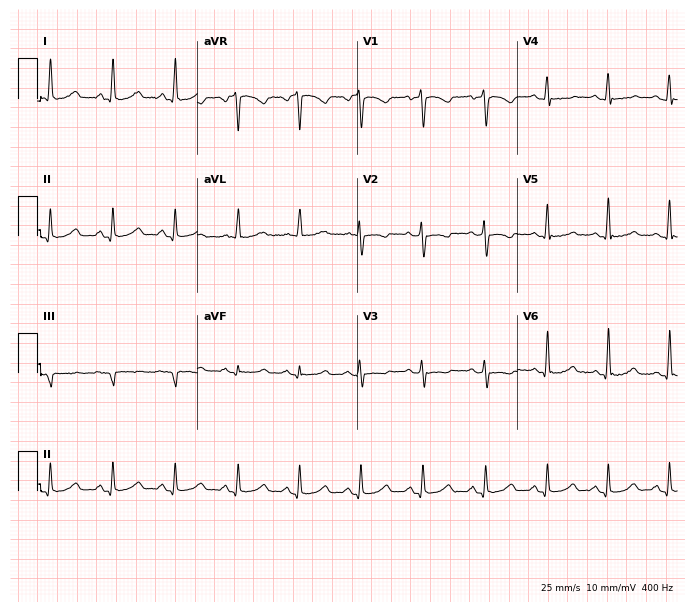
12-lead ECG from a female, 38 years old (6.5-second recording at 400 Hz). No first-degree AV block, right bundle branch block (RBBB), left bundle branch block (LBBB), sinus bradycardia, atrial fibrillation (AF) or sinus tachycardia recorded for this tracing. Only these six findings were labelled.